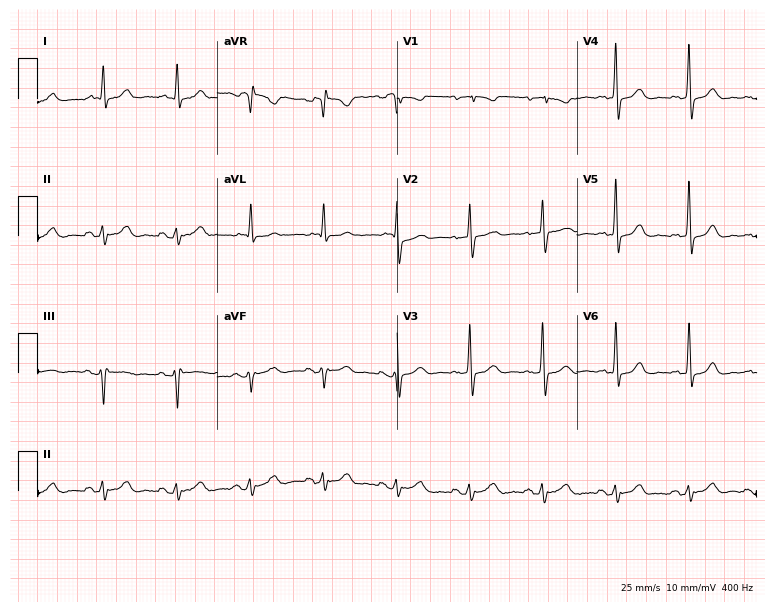
Resting 12-lead electrocardiogram (7.3-second recording at 400 Hz). Patient: a 74-year-old male. None of these six findings is recorded: first-degree AV block, right bundle branch block, left bundle branch block, sinus bradycardia, atrial fibrillation, sinus tachycardia.